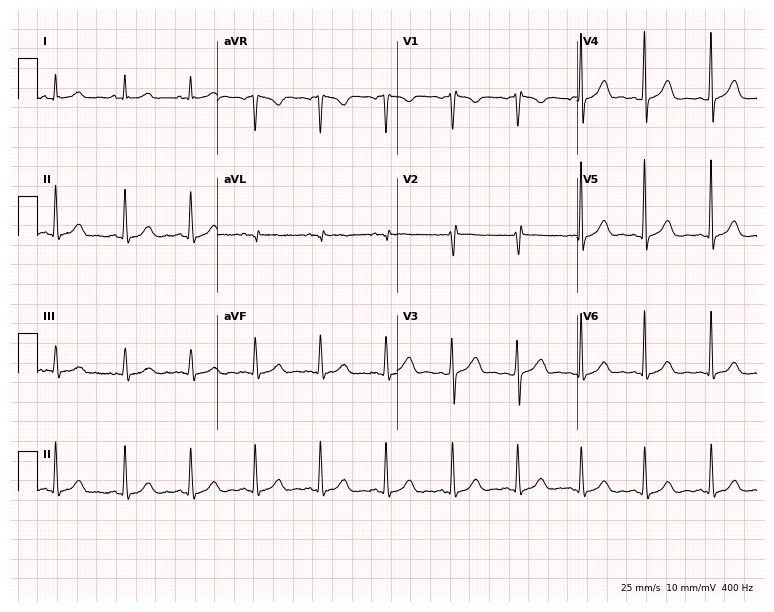
Resting 12-lead electrocardiogram. Patient: a female, 46 years old. Read as a normal ECG.